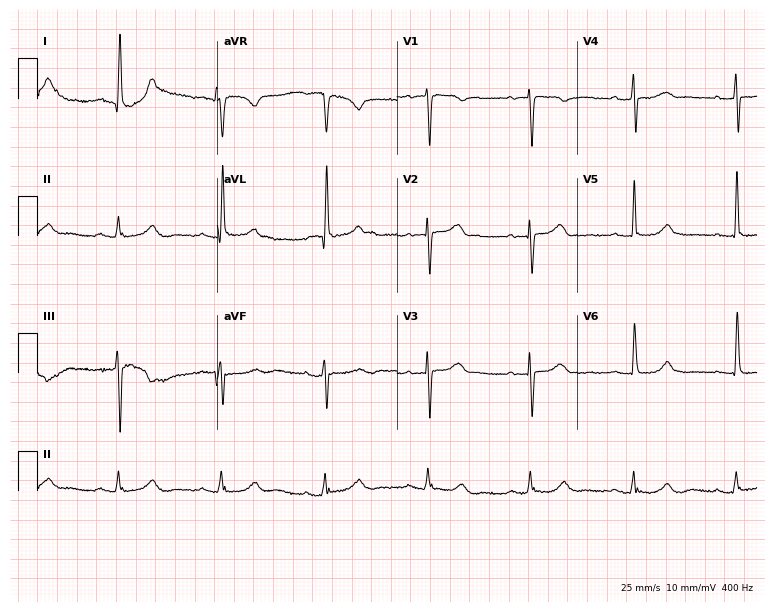
12-lead ECG (7.3-second recording at 400 Hz) from a 76-year-old woman. Labelled as a normal ECG.